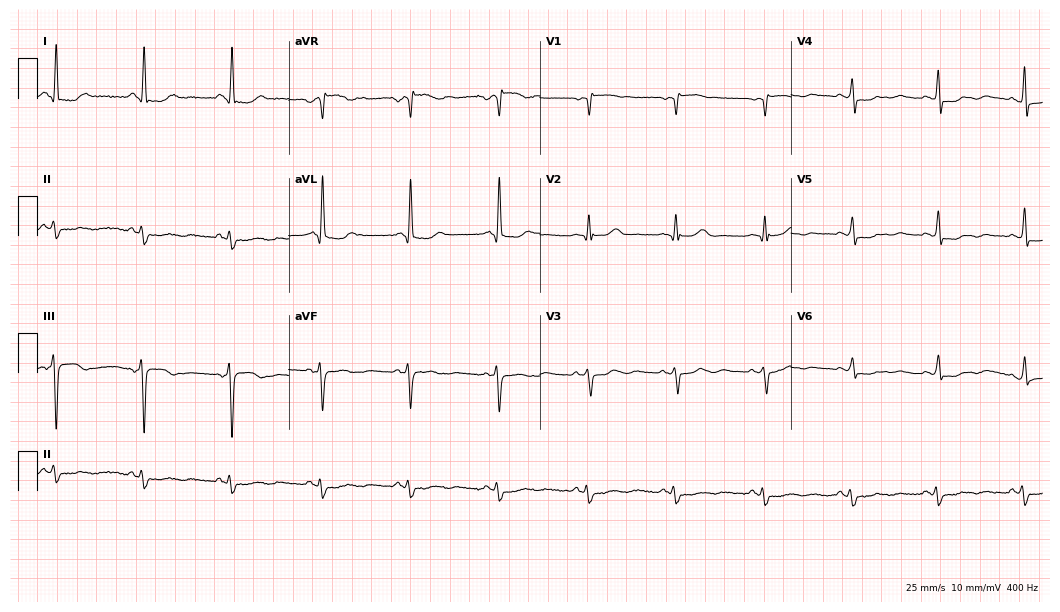
Standard 12-lead ECG recorded from a 56-year-old female patient (10.2-second recording at 400 Hz). None of these six findings is recorded: first-degree AV block, right bundle branch block (RBBB), left bundle branch block (LBBB), sinus bradycardia, atrial fibrillation (AF), sinus tachycardia. Only these six findings were labelled.